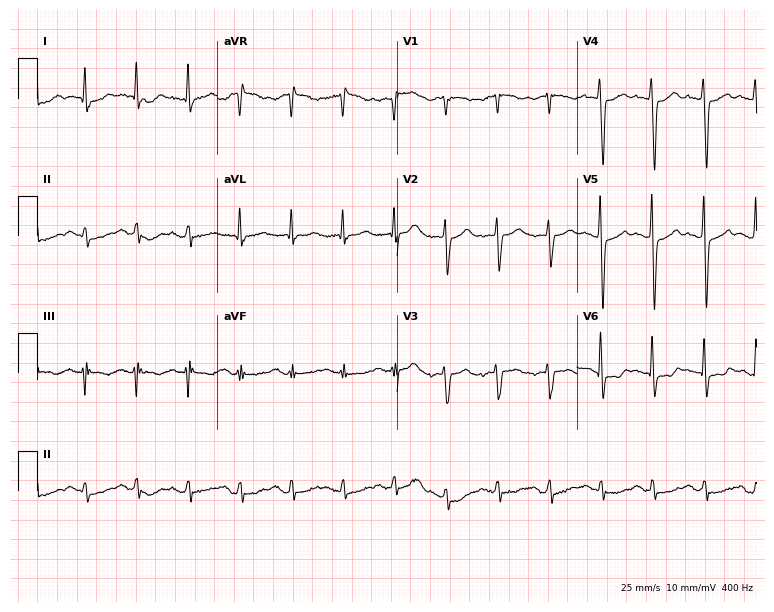
Electrocardiogram (7.3-second recording at 400 Hz), a male patient, 79 years old. Interpretation includes sinus tachycardia (a sinus rate of 100 beats per minute or more).